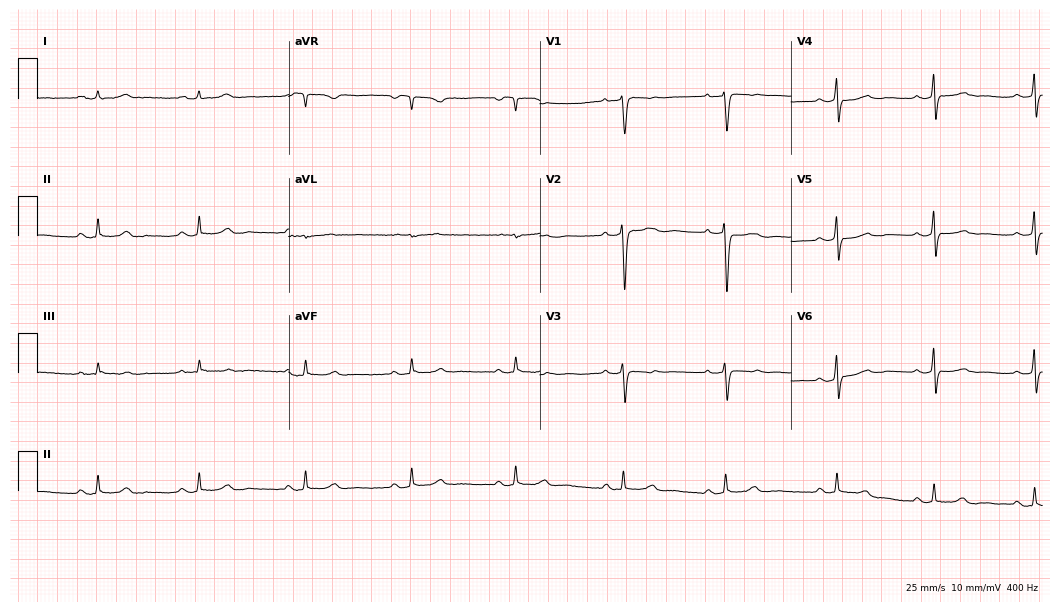
Electrocardiogram, a woman, 43 years old. Of the six screened findings (first-degree AV block, right bundle branch block (RBBB), left bundle branch block (LBBB), sinus bradycardia, atrial fibrillation (AF), sinus tachycardia), none is recorded. Other findings, if any, are not listed.